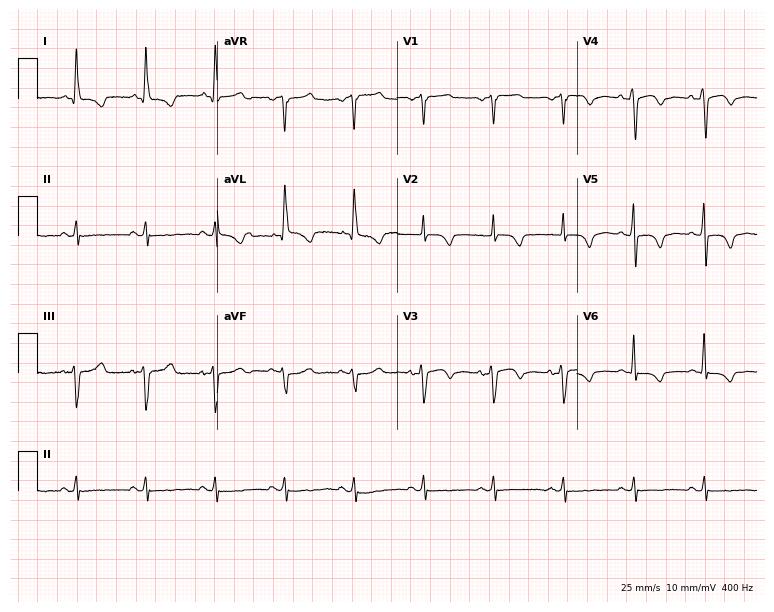
ECG — a 74-year-old female patient. Screened for six findings — first-degree AV block, right bundle branch block (RBBB), left bundle branch block (LBBB), sinus bradycardia, atrial fibrillation (AF), sinus tachycardia — none is recorded. Findings outside these six are not listed.